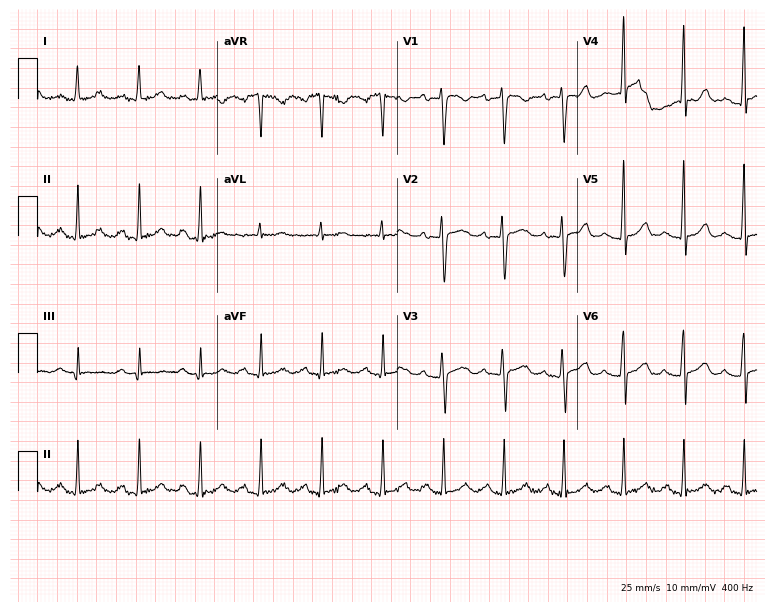
12-lead ECG from a woman, 25 years old. Recorded interpretation: within normal limits.